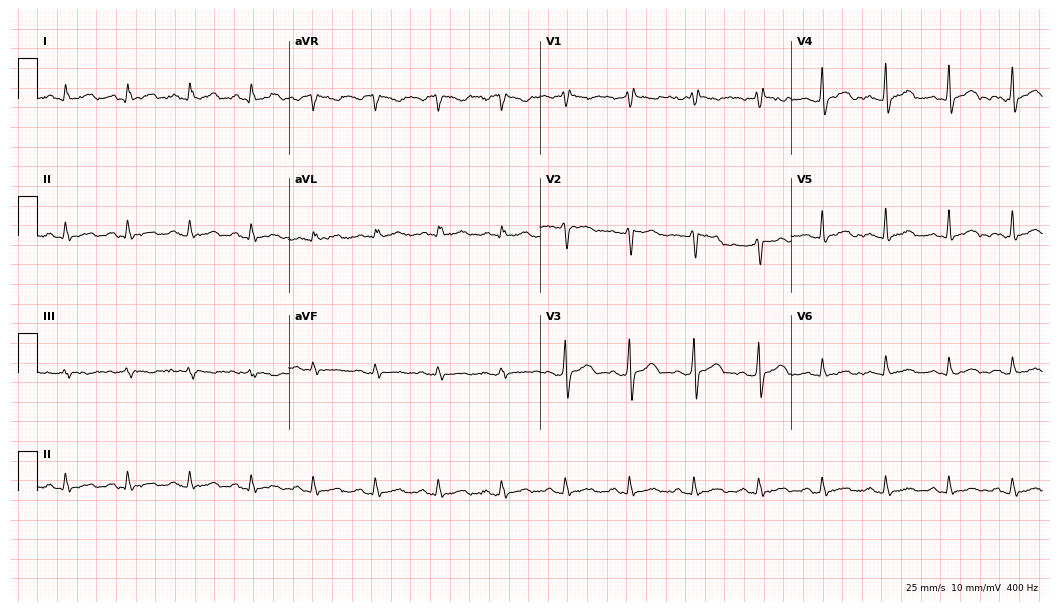
12-lead ECG from a 52-year-old male. No first-degree AV block, right bundle branch block (RBBB), left bundle branch block (LBBB), sinus bradycardia, atrial fibrillation (AF) or sinus tachycardia recorded for this tracing. Only these six findings were labelled.